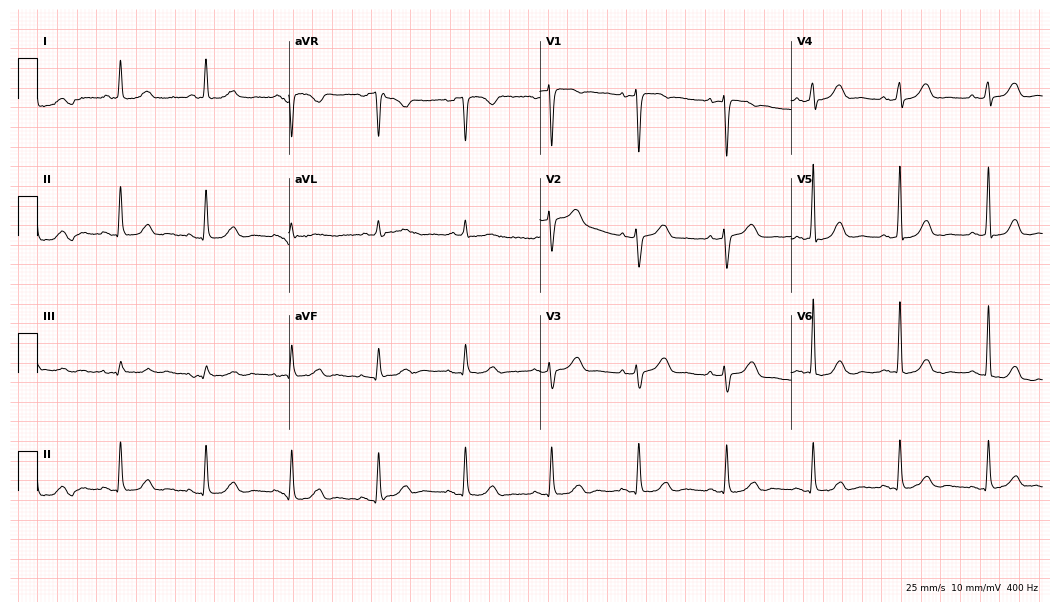
Standard 12-lead ECG recorded from a female patient, 69 years old. Read as a normal ECG.